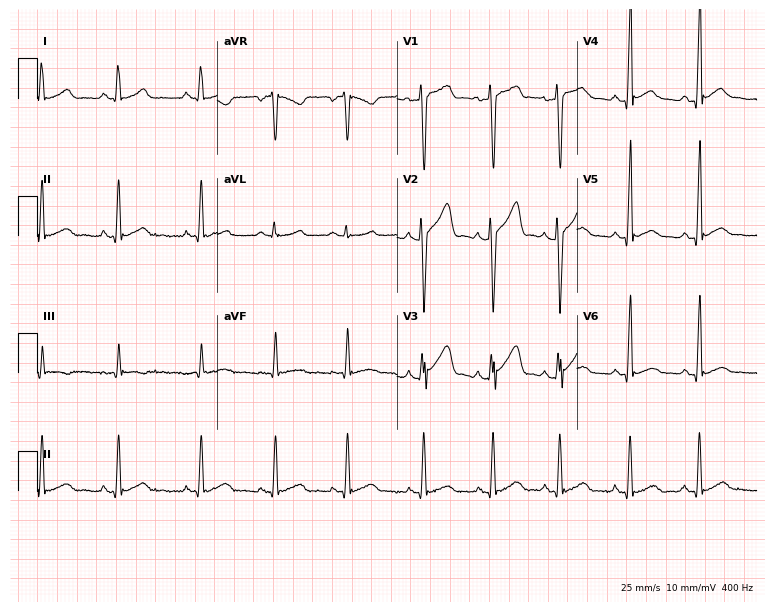
ECG — a 20-year-old male. Labelled as a normal ECG.